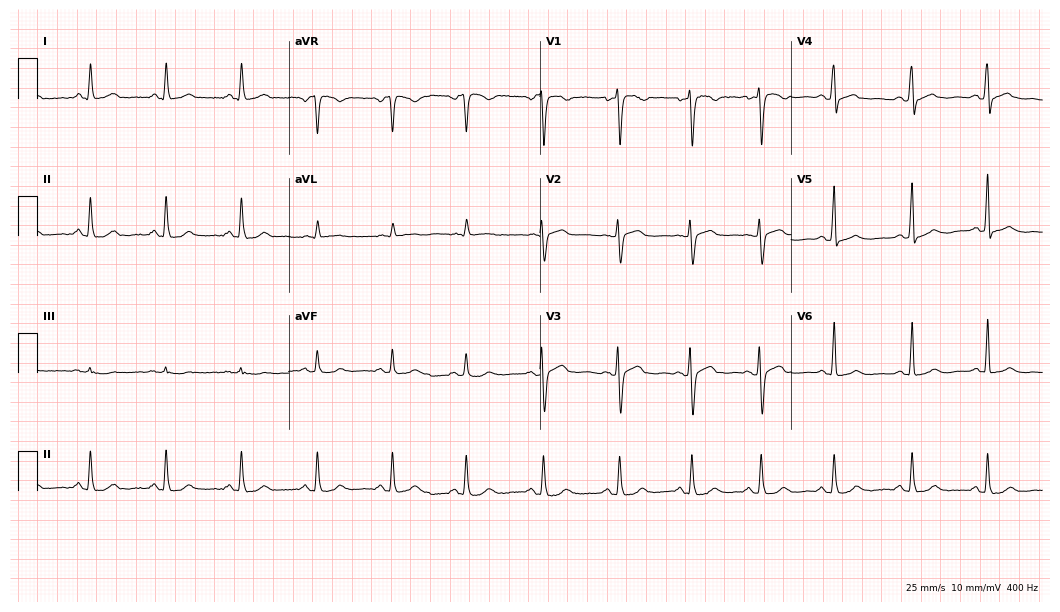
12-lead ECG from a 37-year-old female (10.2-second recording at 400 Hz). Recorded interpretation: within normal limits.